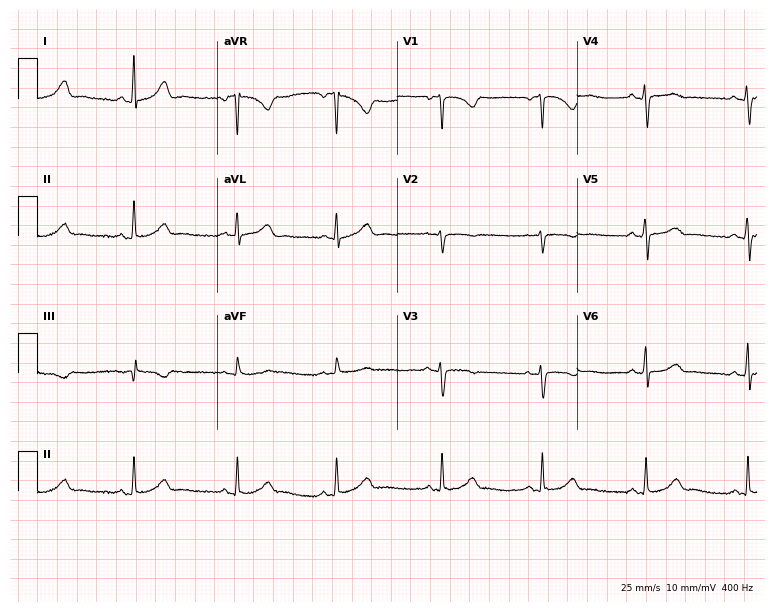
12-lead ECG (7.3-second recording at 400 Hz) from a woman, 29 years old. Screened for six findings — first-degree AV block, right bundle branch block, left bundle branch block, sinus bradycardia, atrial fibrillation, sinus tachycardia — none is recorded.